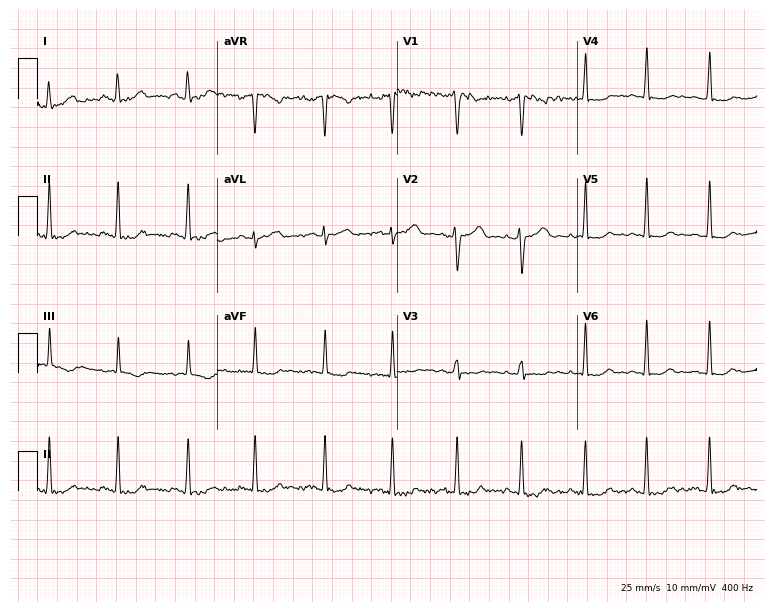
12-lead ECG (7.3-second recording at 400 Hz) from a female patient, 29 years old. Screened for six findings — first-degree AV block, right bundle branch block, left bundle branch block, sinus bradycardia, atrial fibrillation, sinus tachycardia — none is recorded. Only these six findings were labelled.